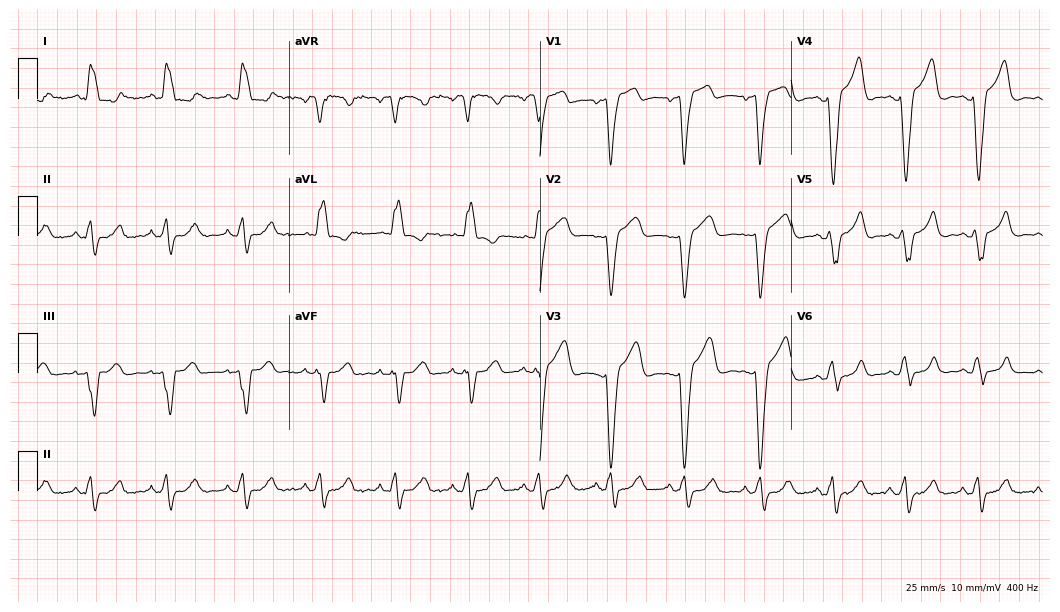
ECG (10.2-second recording at 400 Hz) — a 35-year-old woman. Screened for six findings — first-degree AV block, right bundle branch block, left bundle branch block, sinus bradycardia, atrial fibrillation, sinus tachycardia — none is recorded. Findings outside these six are not listed.